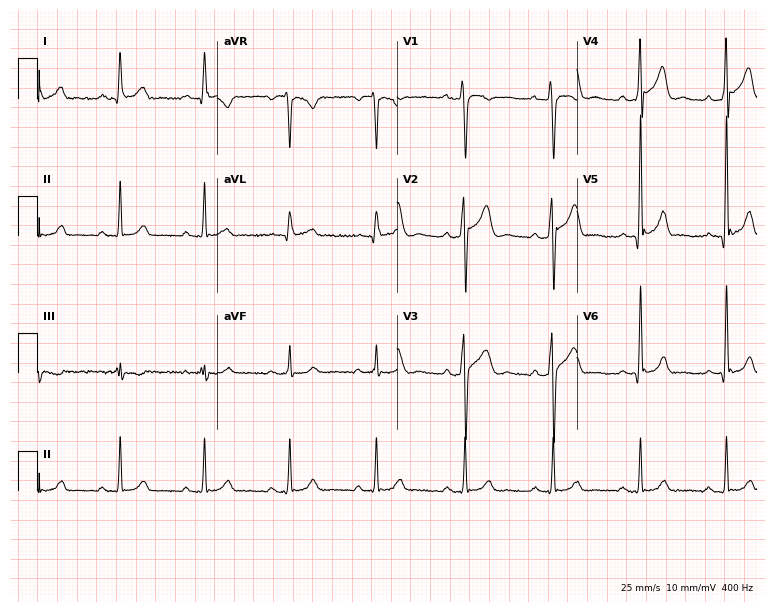
ECG — a male, 48 years old. Labelled as a normal ECG.